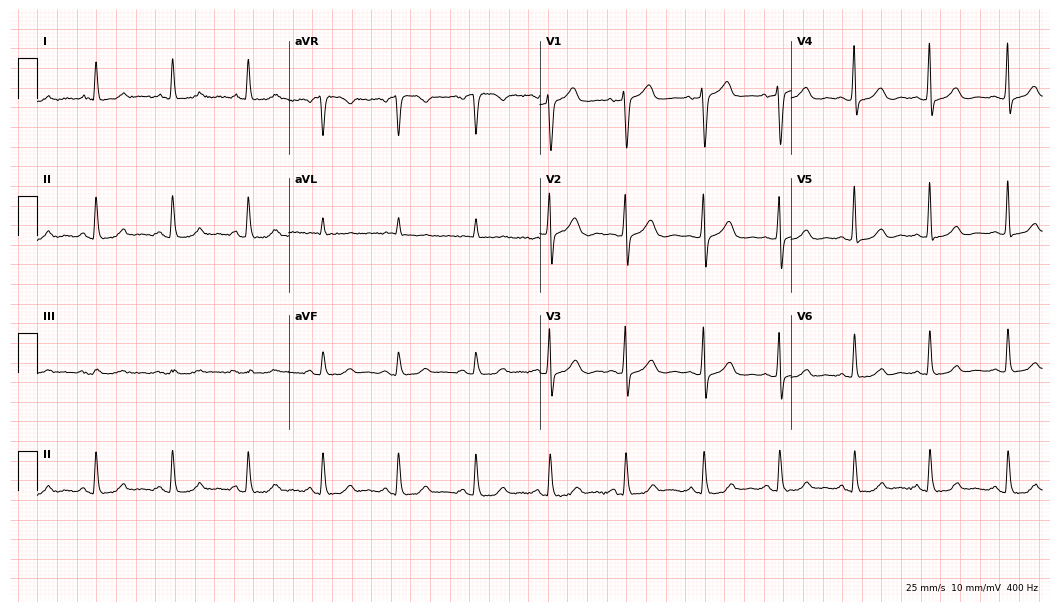
12-lead ECG (10.2-second recording at 400 Hz) from a woman, 77 years old. Labelled as a normal ECG.